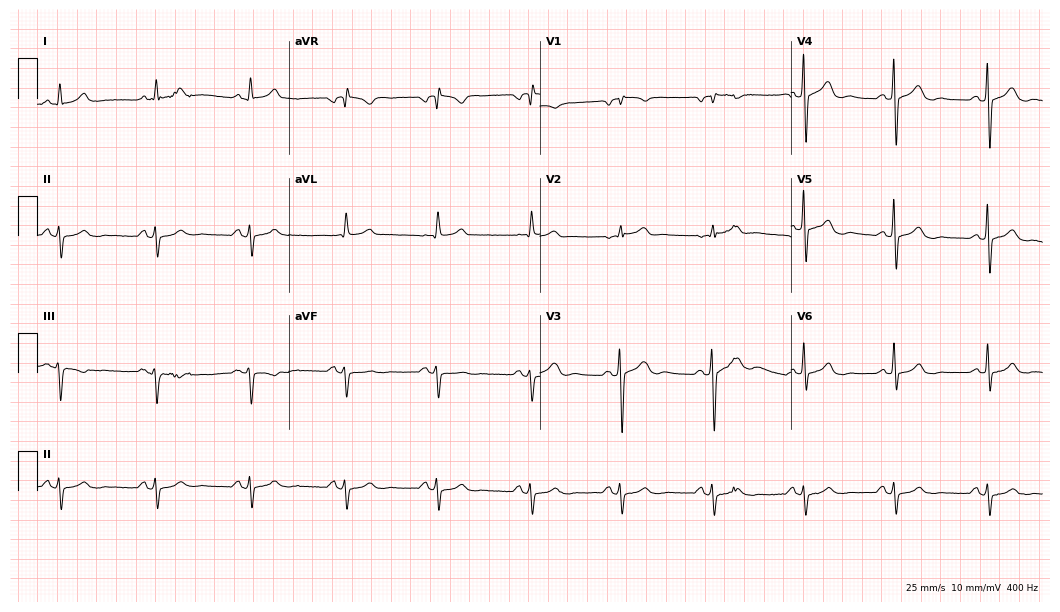
Standard 12-lead ECG recorded from a 62-year-old man (10.2-second recording at 400 Hz). None of these six findings is recorded: first-degree AV block, right bundle branch block (RBBB), left bundle branch block (LBBB), sinus bradycardia, atrial fibrillation (AF), sinus tachycardia. Only these six findings were labelled.